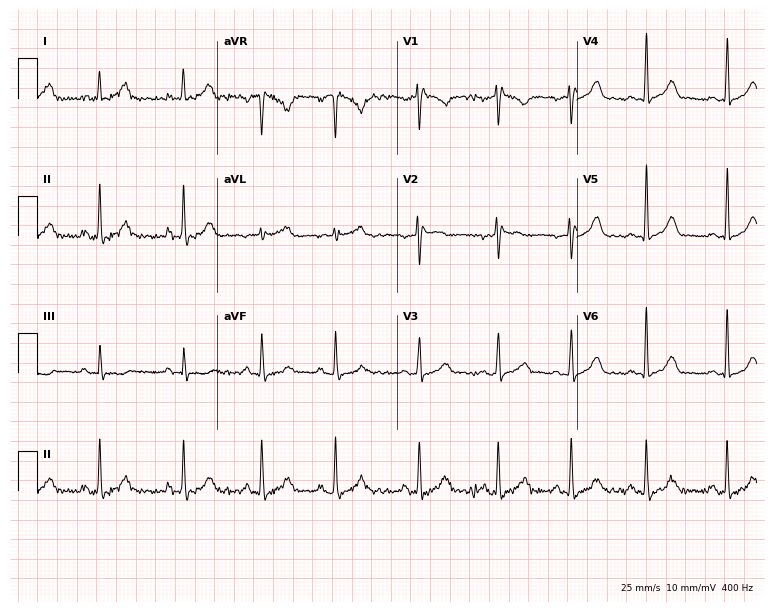
Resting 12-lead electrocardiogram. Patient: a 24-year-old woman. None of these six findings is recorded: first-degree AV block, right bundle branch block, left bundle branch block, sinus bradycardia, atrial fibrillation, sinus tachycardia. Findings outside these six are not listed.